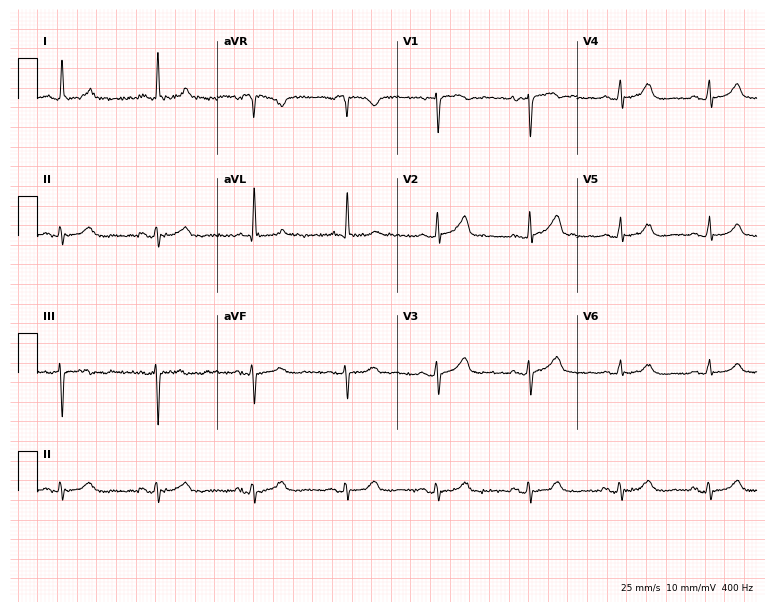
Resting 12-lead electrocardiogram. Patient: a female, 73 years old. Read as a normal ECG.